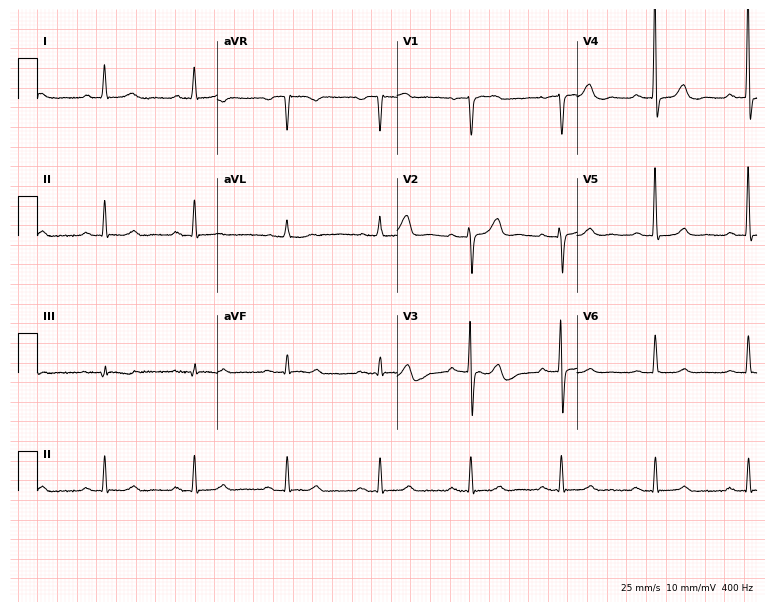
Resting 12-lead electrocardiogram (7.3-second recording at 400 Hz). Patient: an 81-year-old male. Read as a normal ECG.